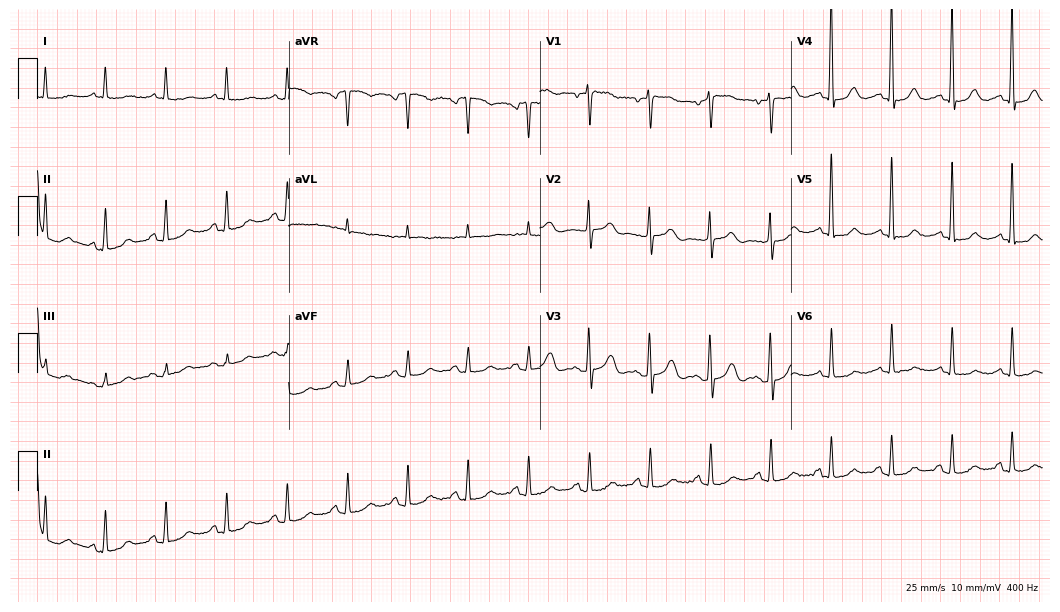
12-lead ECG from a 73-year-old female patient. Screened for six findings — first-degree AV block, right bundle branch block (RBBB), left bundle branch block (LBBB), sinus bradycardia, atrial fibrillation (AF), sinus tachycardia — none is recorded.